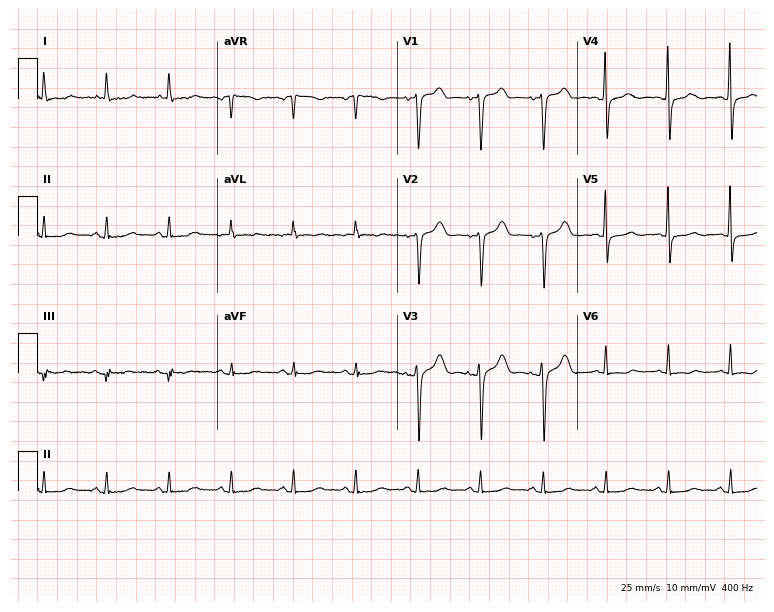
ECG — a 65-year-old woman. Screened for six findings — first-degree AV block, right bundle branch block, left bundle branch block, sinus bradycardia, atrial fibrillation, sinus tachycardia — none is recorded. Findings outside these six are not listed.